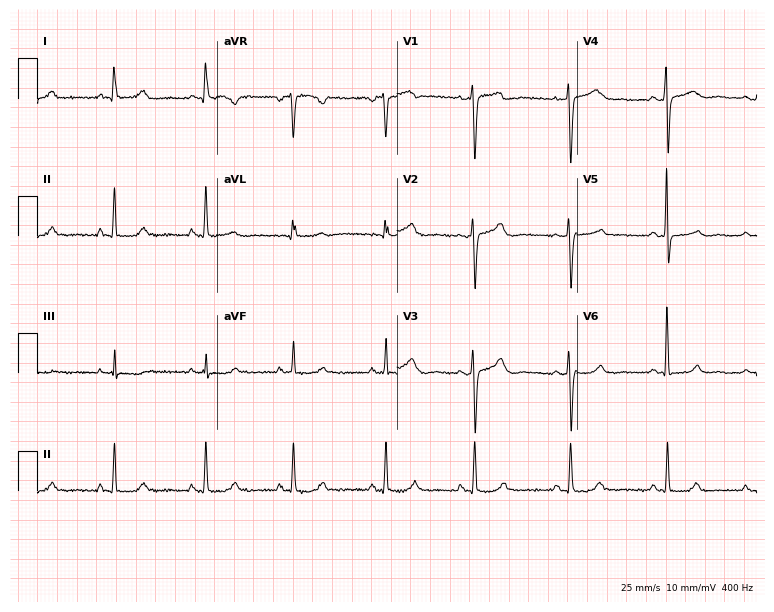
Resting 12-lead electrocardiogram. Patient: a 51-year-old woman. None of these six findings is recorded: first-degree AV block, right bundle branch block, left bundle branch block, sinus bradycardia, atrial fibrillation, sinus tachycardia.